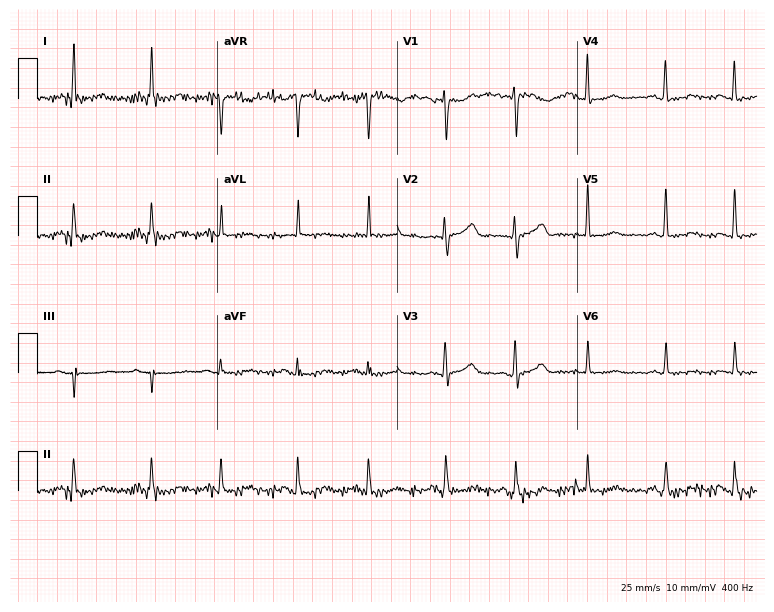
Resting 12-lead electrocardiogram. Patient: a female, 84 years old. None of these six findings is recorded: first-degree AV block, right bundle branch block (RBBB), left bundle branch block (LBBB), sinus bradycardia, atrial fibrillation (AF), sinus tachycardia. Only these six findings were labelled.